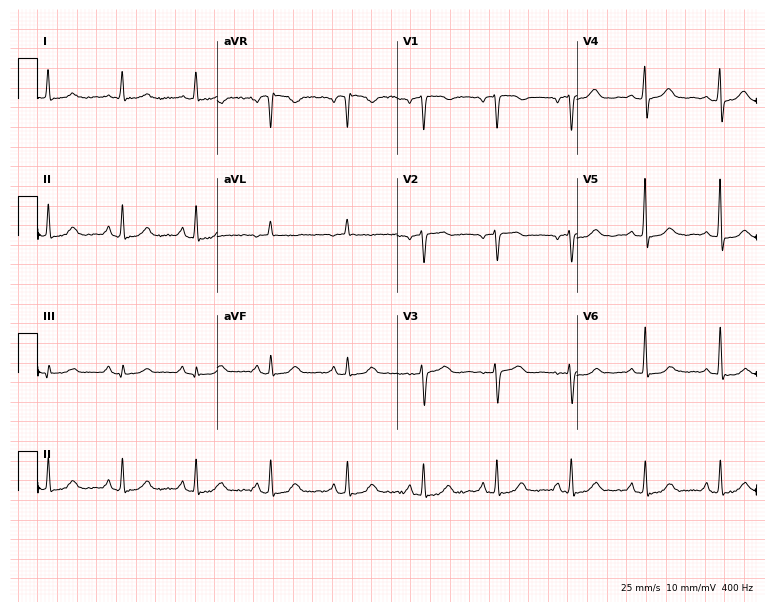
12-lead ECG from a 63-year-old woman. Screened for six findings — first-degree AV block, right bundle branch block, left bundle branch block, sinus bradycardia, atrial fibrillation, sinus tachycardia — none is recorded.